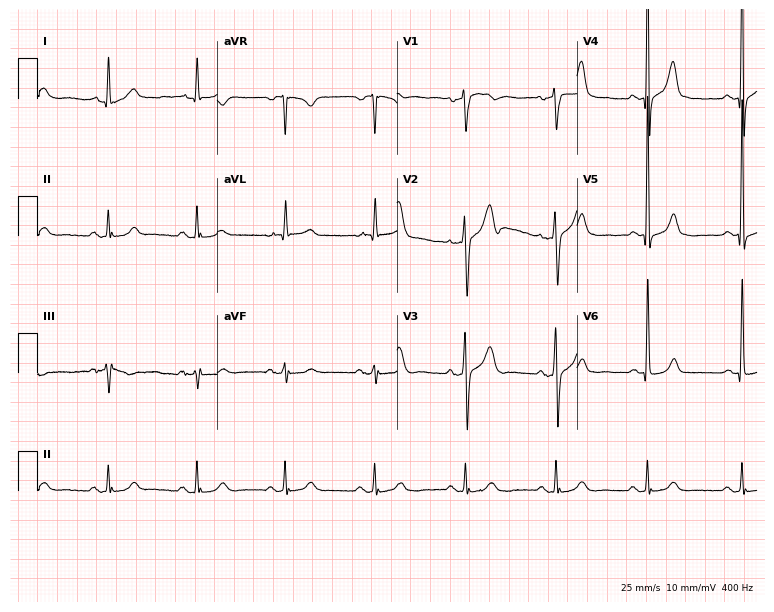
12-lead ECG from a man, 83 years old. Screened for six findings — first-degree AV block, right bundle branch block, left bundle branch block, sinus bradycardia, atrial fibrillation, sinus tachycardia — none is recorded. Findings outside these six are not listed.